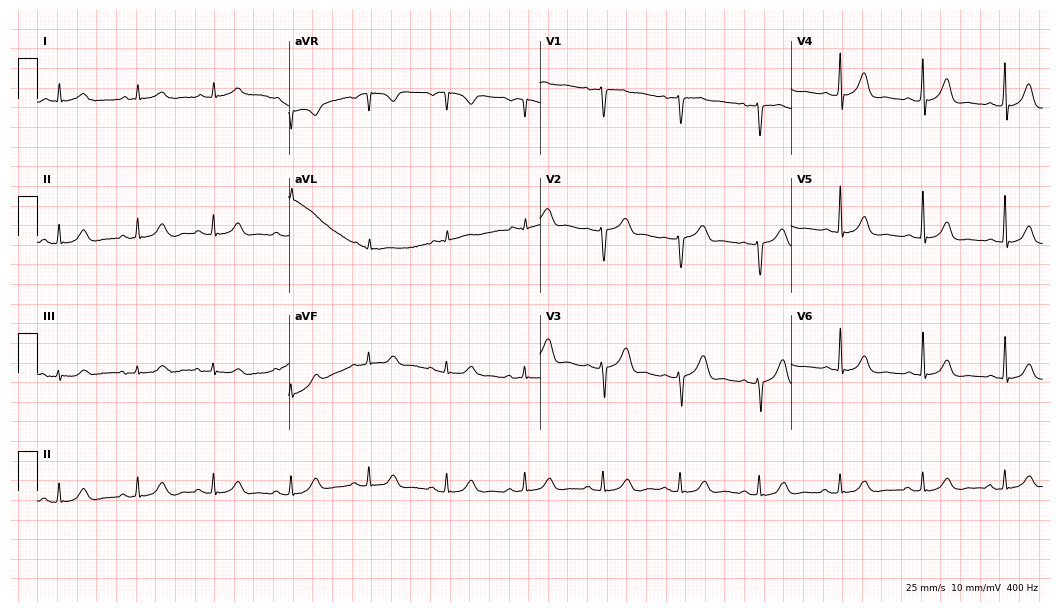
Standard 12-lead ECG recorded from a man, 75 years old. Read as a normal ECG.